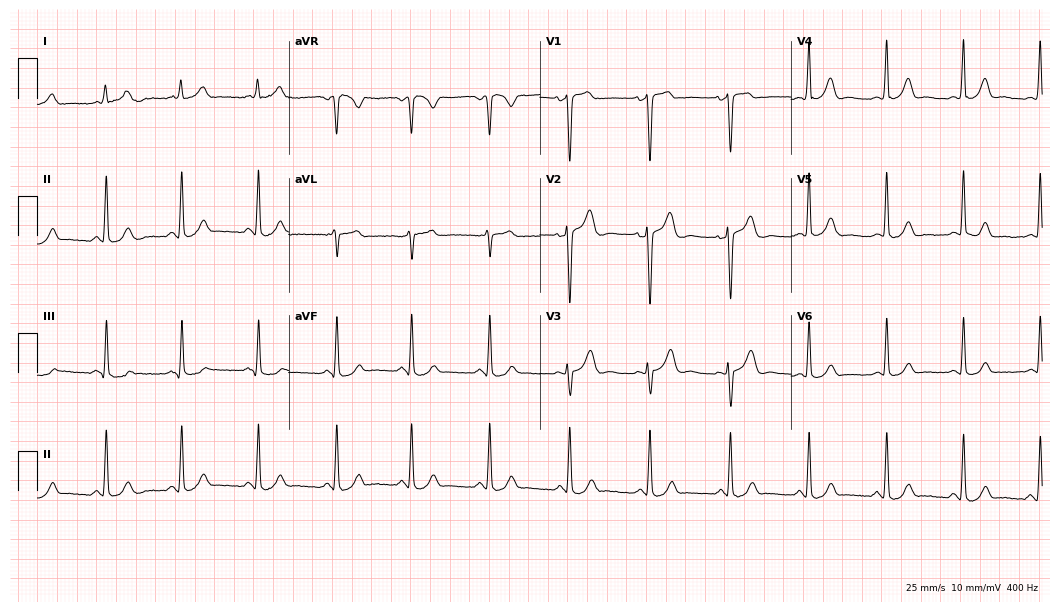
12-lead ECG (10.2-second recording at 400 Hz) from a female patient, 42 years old. Screened for six findings — first-degree AV block, right bundle branch block (RBBB), left bundle branch block (LBBB), sinus bradycardia, atrial fibrillation (AF), sinus tachycardia — none is recorded.